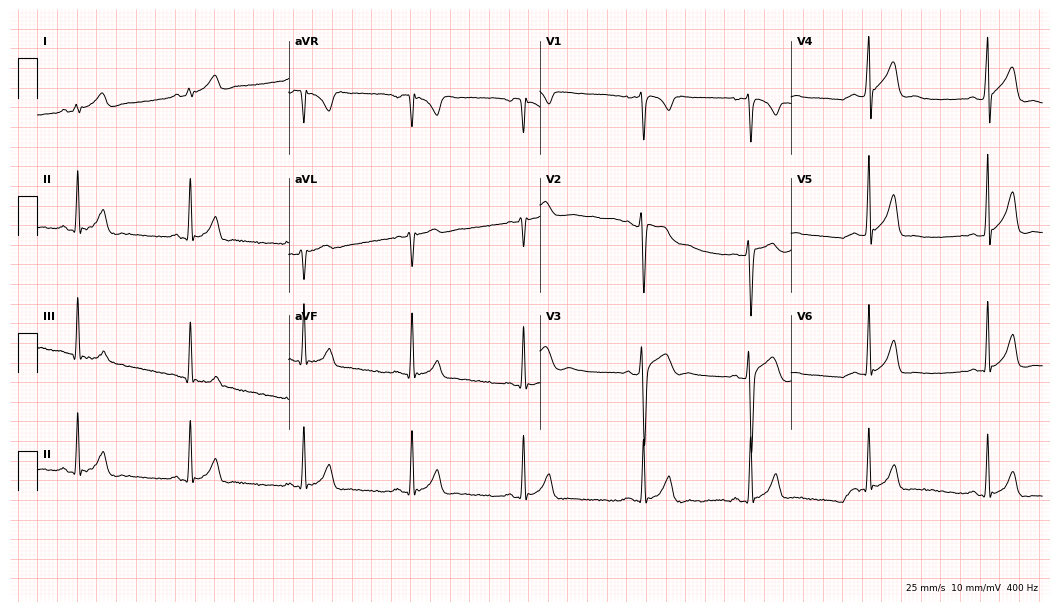
Standard 12-lead ECG recorded from a 20-year-old male patient (10.2-second recording at 400 Hz). Read as a normal ECG.